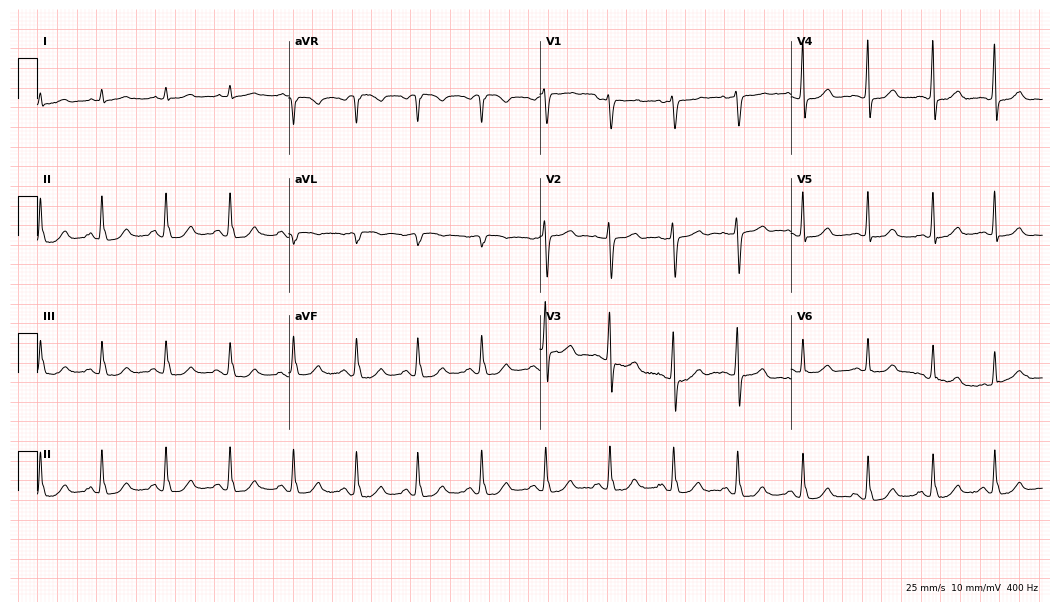
12-lead ECG from a 67-year-old woman. Labelled as a normal ECG.